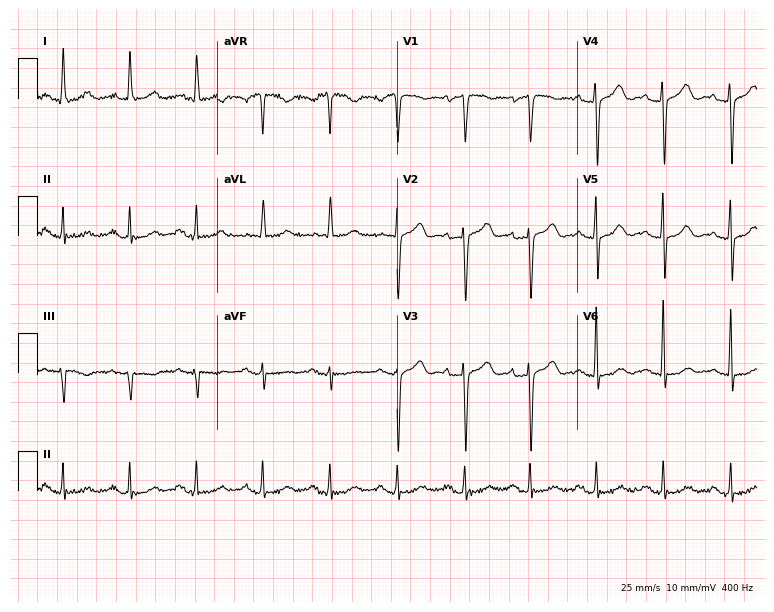
12-lead ECG from a female, 79 years old. Recorded interpretation: within normal limits.